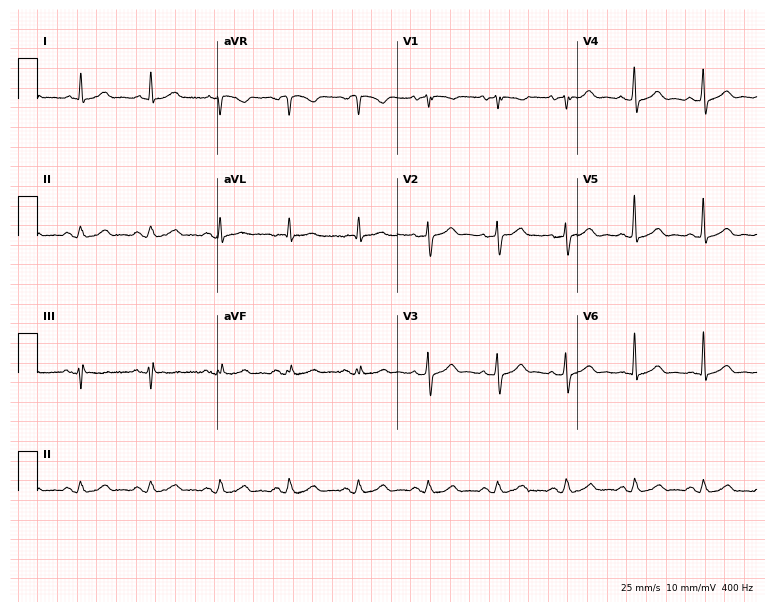
ECG — an 85-year-old male patient. Screened for six findings — first-degree AV block, right bundle branch block, left bundle branch block, sinus bradycardia, atrial fibrillation, sinus tachycardia — none is recorded.